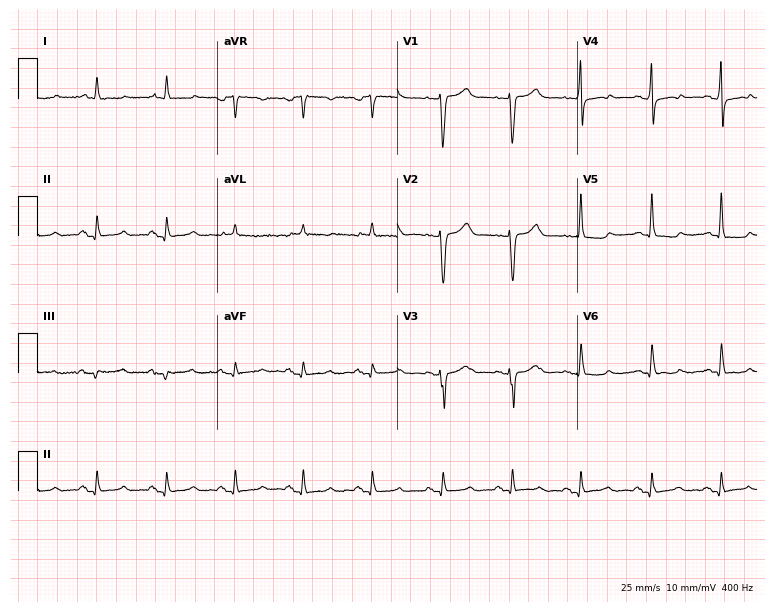
Standard 12-lead ECG recorded from a 49-year-old female (7.3-second recording at 400 Hz). None of these six findings is recorded: first-degree AV block, right bundle branch block, left bundle branch block, sinus bradycardia, atrial fibrillation, sinus tachycardia.